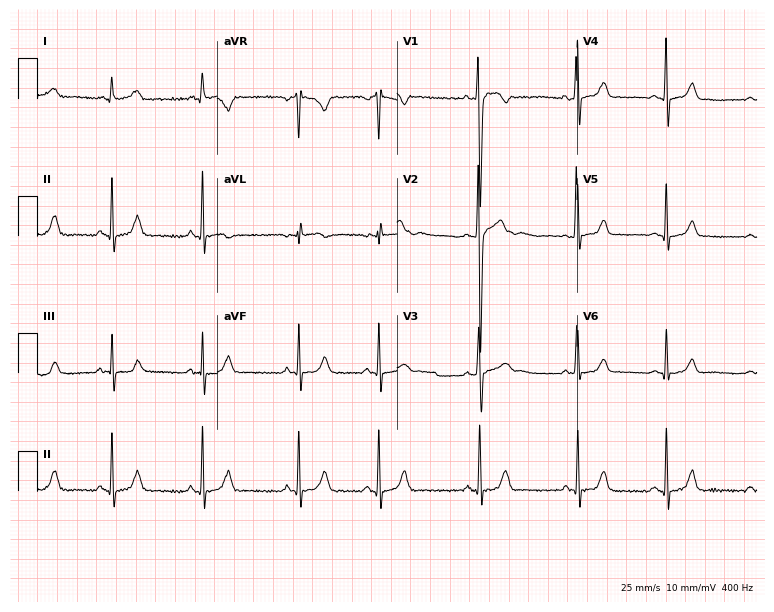
12-lead ECG (7.3-second recording at 400 Hz) from a male patient, 17 years old. Labelled as a normal ECG.